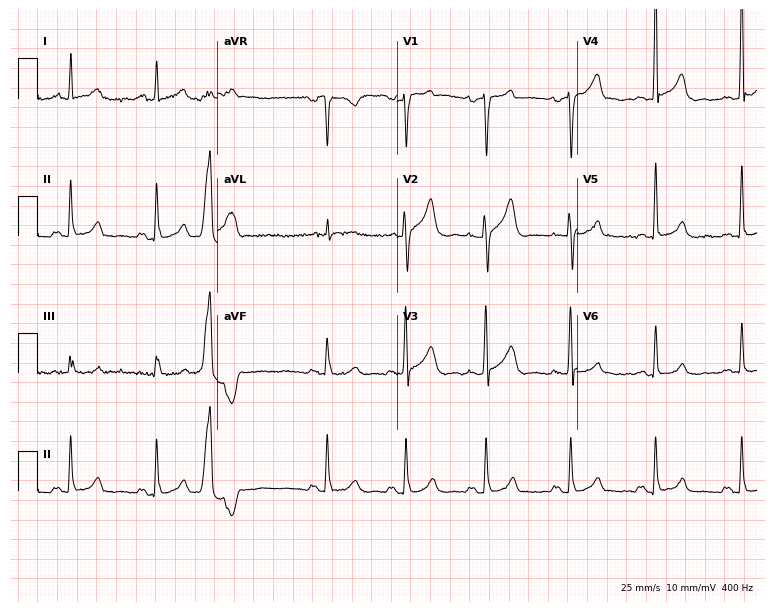
Electrocardiogram, a male, 56 years old. Of the six screened findings (first-degree AV block, right bundle branch block, left bundle branch block, sinus bradycardia, atrial fibrillation, sinus tachycardia), none is recorded. Only these six findings were labelled.